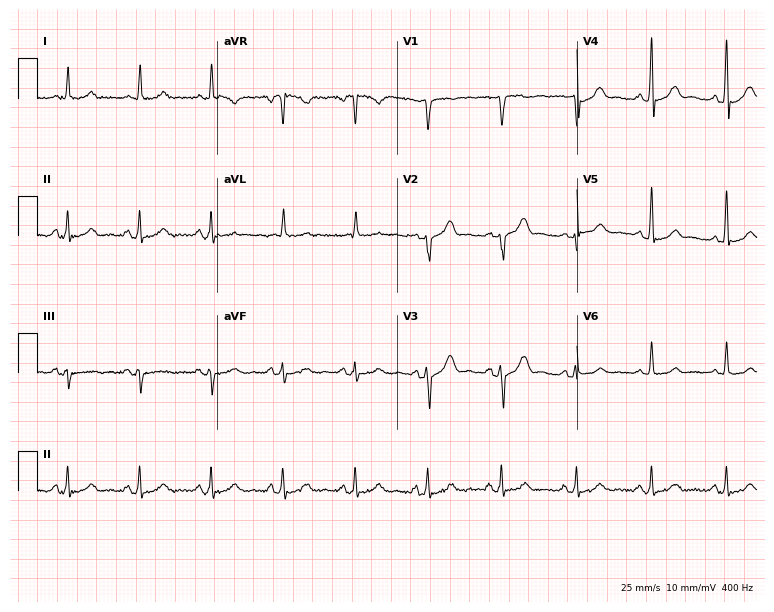
Electrocardiogram, a 65-year-old male. Overall reading on record: normal ECG.